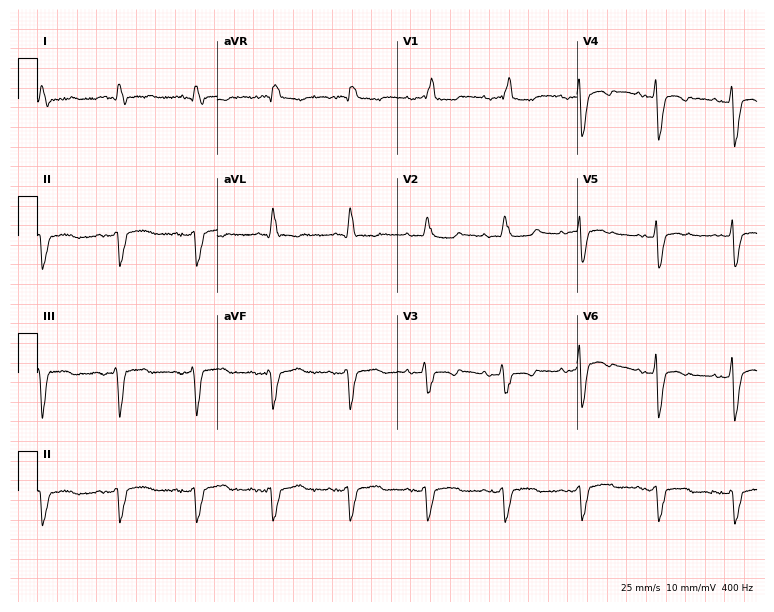
Standard 12-lead ECG recorded from a female patient, 71 years old (7.3-second recording at 400 Hz). The tracing shows right bundle branch block, left bundle branch block.